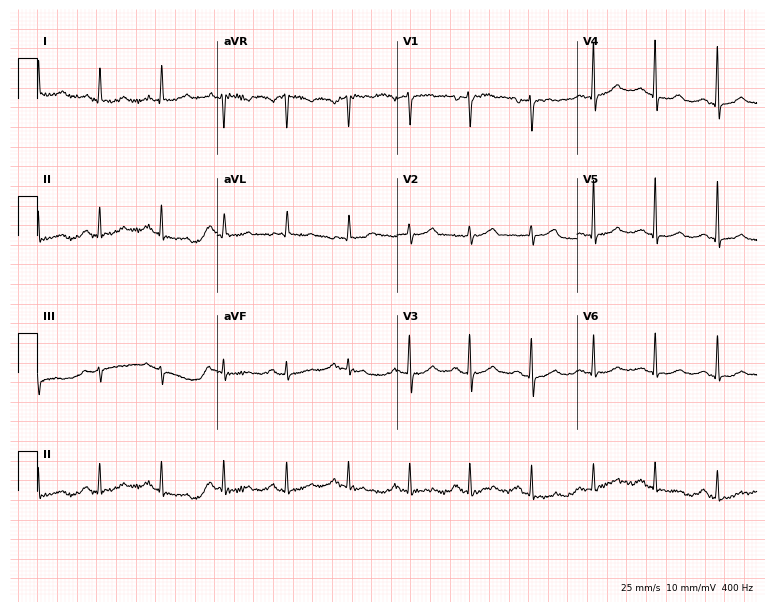
12-lead ECG (7.3-second recording at 400 Hz) from a woman, 73 years old. Screened for six findings — first-degree AV block, right bundle branch block (RBBB), left bundle branch block (LBBB), sinus bradycardia, atrial fibrillation (AF), sinus tachycardia — none is recorded. Only these six findings were labelled.